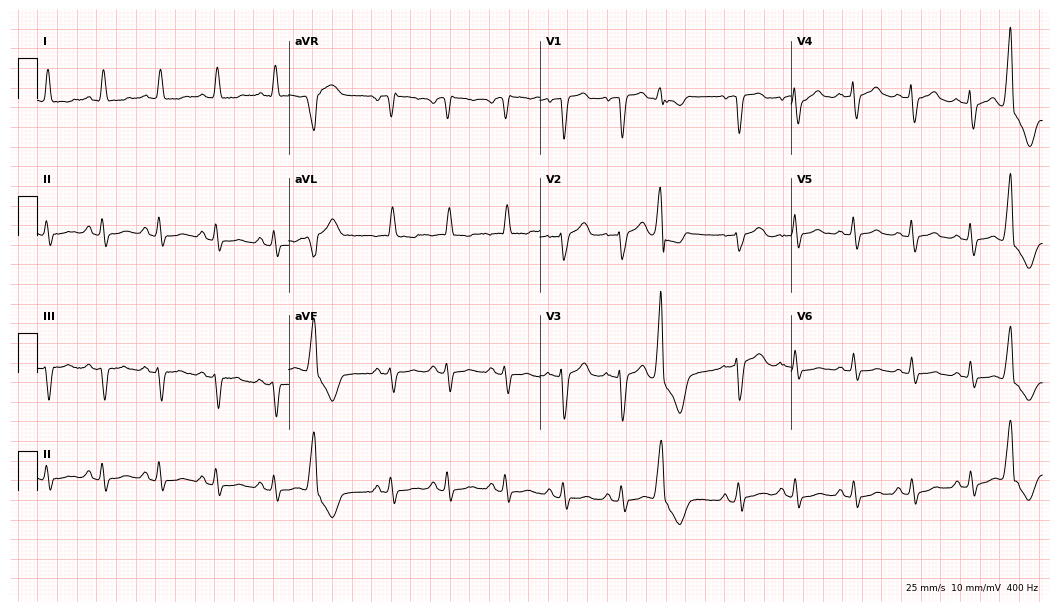
ECG (10.2-second recording at 400 Hz) — a woman, 68 years old. Findings include sinus tachycardia (a sinus rate of 100 beats per minute or more).